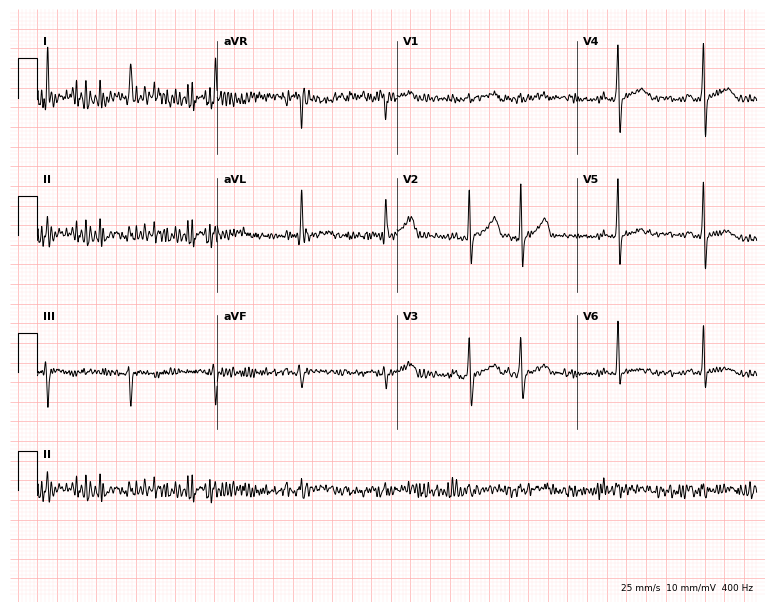
Electrocardiogram, a 79-year-old male. Of the six screened findings (first-degree AV block, right bundle branch block (RBBB), left bundle branch block (LBBB), sinus bradycardia, atrial fibrillation (AF), sinus tachycardia), none is recorded. Findings outside these six are not listed.